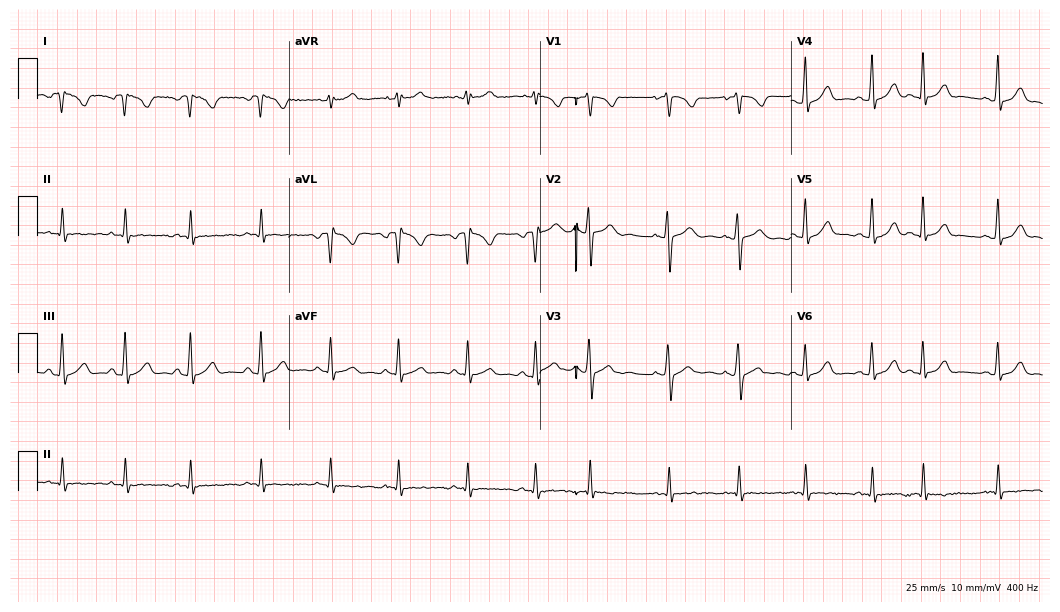
ECG (10.2-second recording at 400 Hz) — a female, 23 years old. Screened for six findings — first-degree AV block, right bundle branch block, left bundle branch block, sinus bradycardia, atrial fibrillation, sinus tachycardia — none is recorded. Only these six findings were labelled.